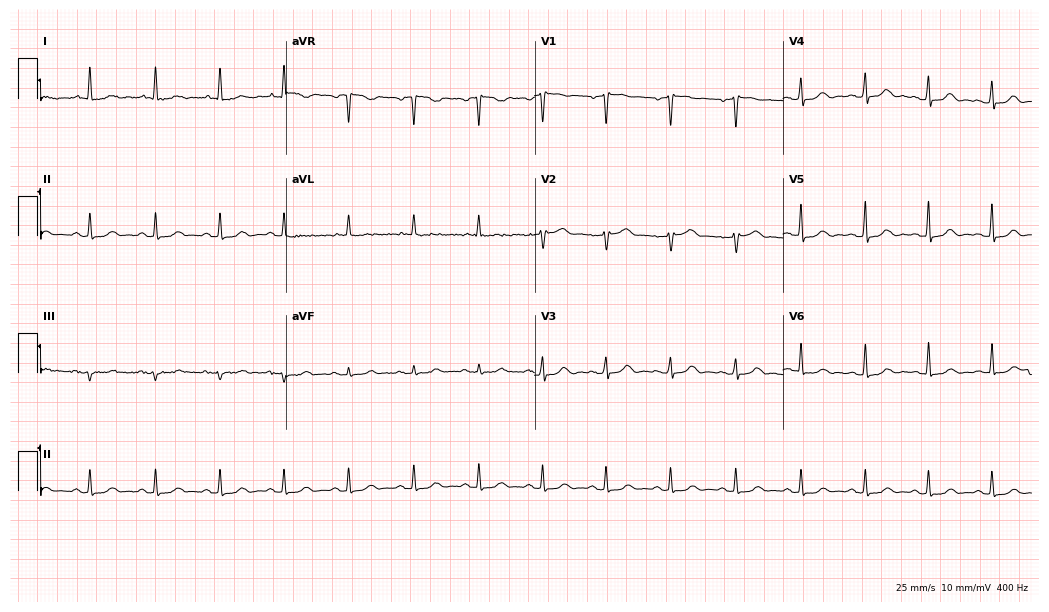
12-lead ECG (10.1-second recording at 400 Hz) from a woman, 71 years old. Labelled as a normal ECG.